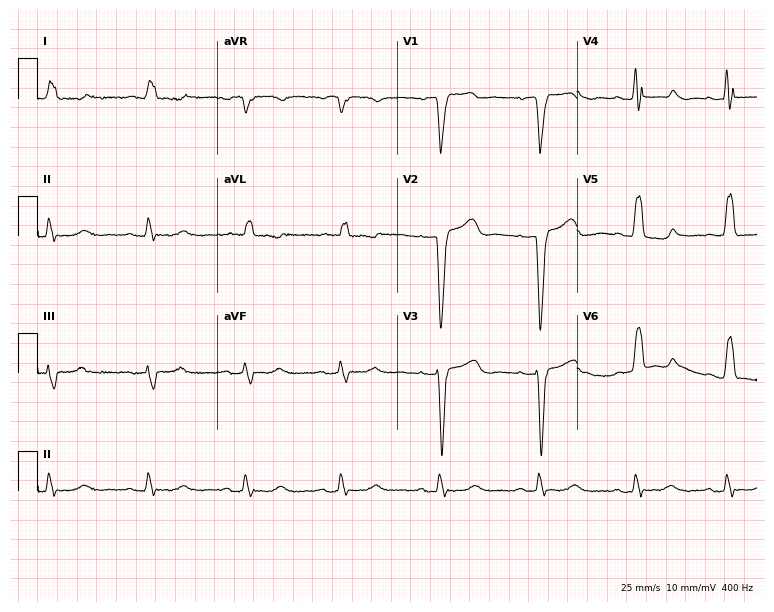
ECG — a female, 71 years old. Findings include left bundle branch block.